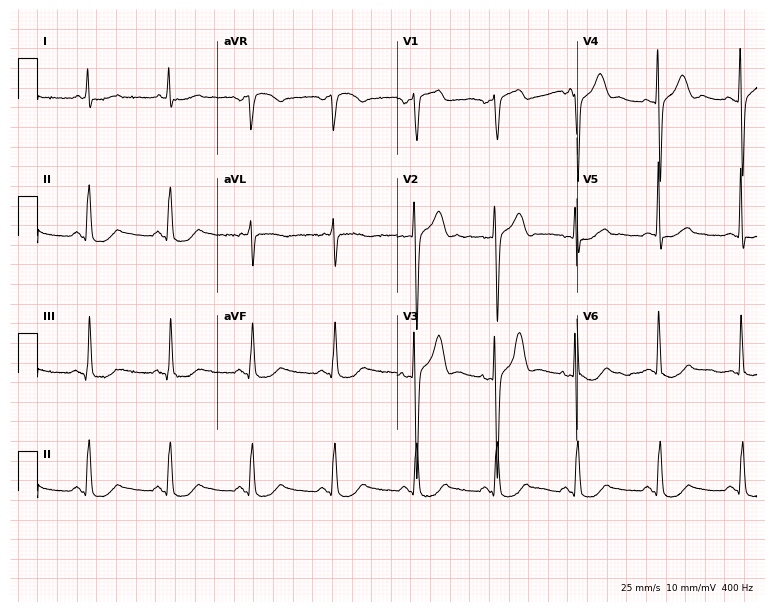
Standard 12-lead ECG recorded from a male patient, 82 years old. Read as a normal ECG.